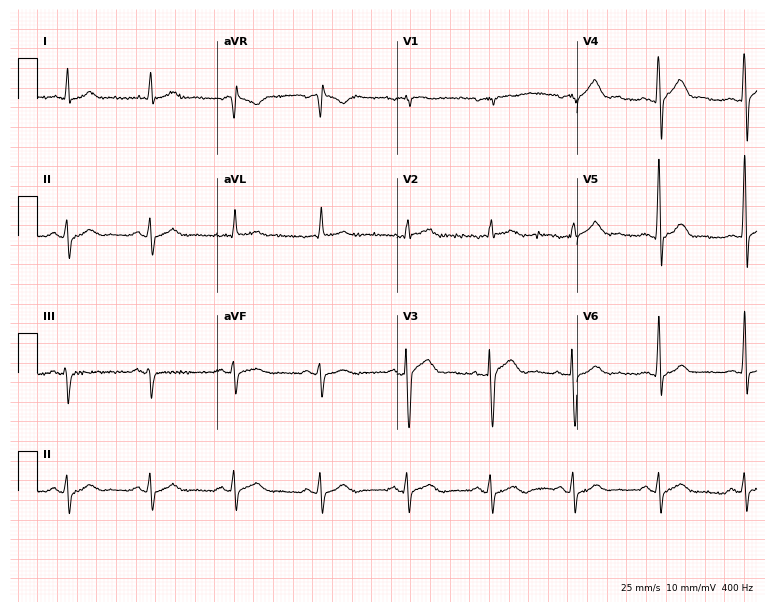
12-lead ECG from a man, 62 years old. Screened for six findings — first-degree AV block, right bundle branch block, left bundle branch block, sinus bradycardia, atrial fibrillation, sinus tachycardia — none is recorded.